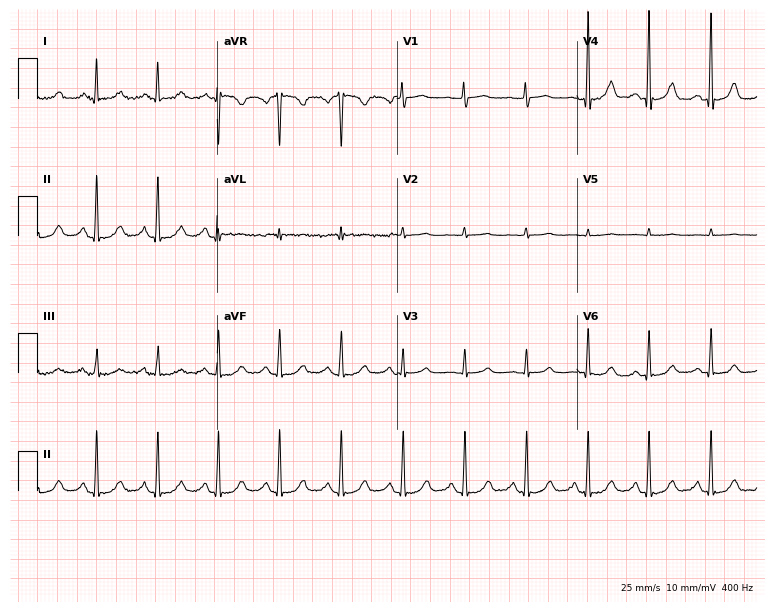
12-lead ECG (7.3-second recording at 400 Hz) from a female, 67 years old. Labelled as a normal ECG.